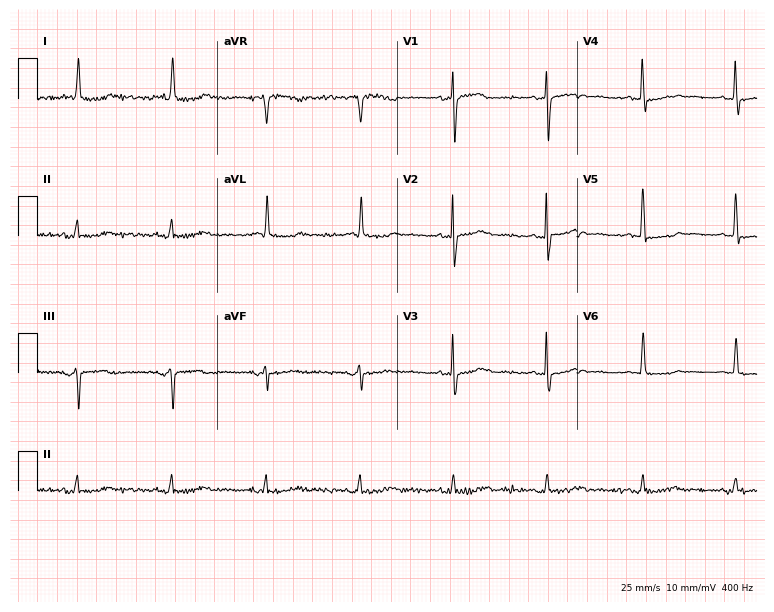
ECG — a woman, 69 years old. Screened for six findings — first-degree AV block, right bundle branch block (RBBB), left bundle branch block (LBBB), sinus bradycardia, atrial fibrillation (AF), sinus tachycardia — none is recorded. Findings outside these six are not listed.